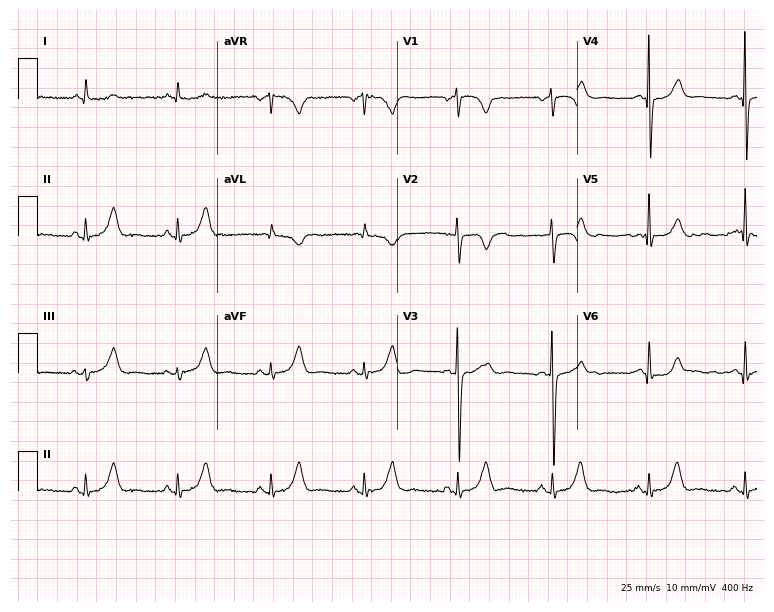
12-lead ECG from a male, 57 years old. Screened for six findings — first-degree AV block, right bundle branch block, left bundle branch block, sinus bradycardia, atrial fibrillation, sinus tachycardia — none is recorded.